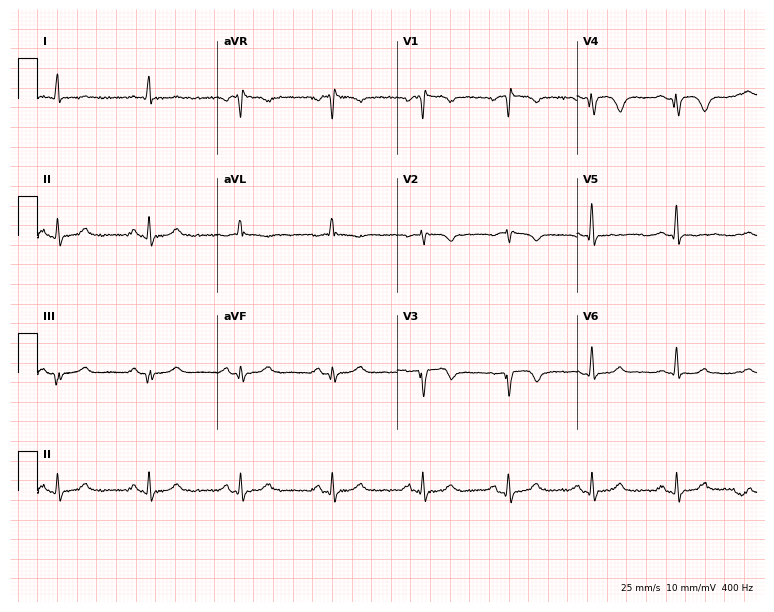
12-lead ECG from a man, 58 years old (7.3-second recording at 400 Hz). No first-degree AV block, right bundle branch block, left bundle branch block, sinus bradycardia, atrial fibrillation or sinus tachycardia recorded for this tracing.